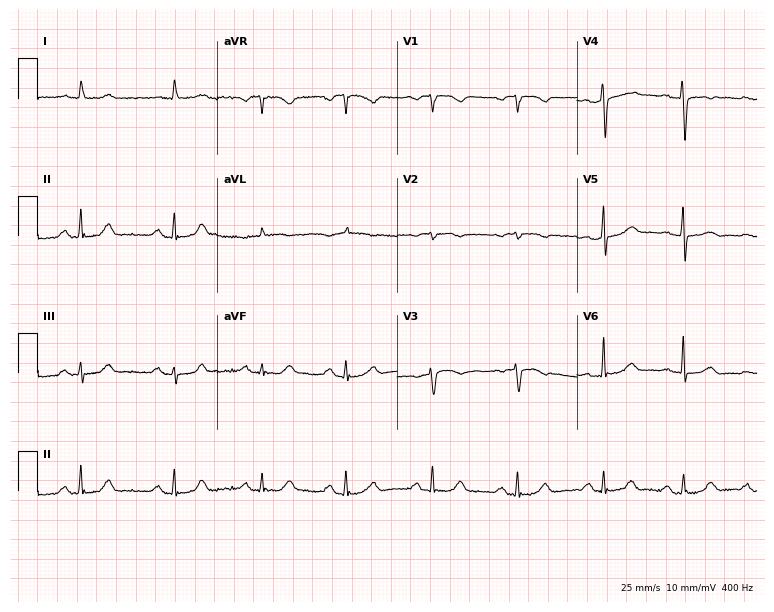
Electrocardiogram, a female patient, 64 years old. Of the six screened findings (first-degree AV block, right bundle branch block, left bundle branch block, sinus bradycardia, atrial fibrillation, sinus tachycardia), none is recorded. Other findings, if any, are not listed.